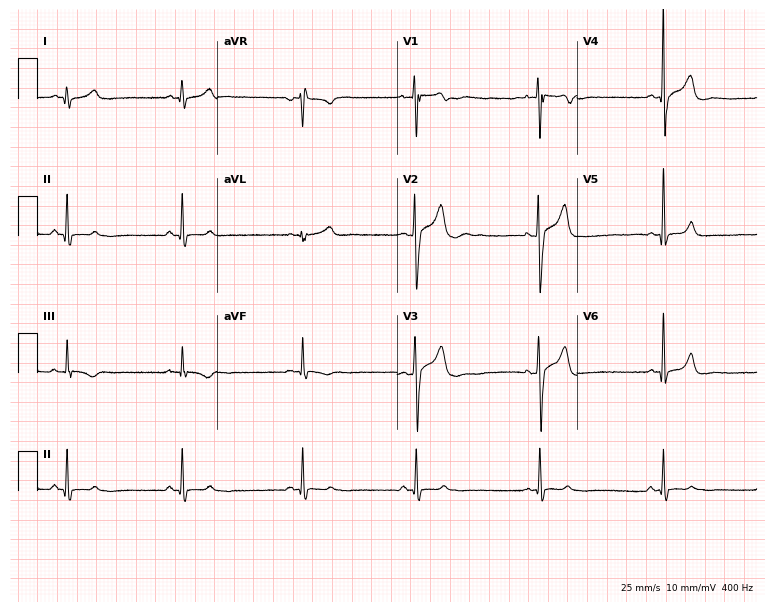
Resting 12-lead electrocardiogram. Patient: a 22-year-old man. None of these six findings is recorded: first-degree AV block, right bundle branch block, left bundle branch block, sinus bradycardia, atrial fibrillation, sinus tachycardia.